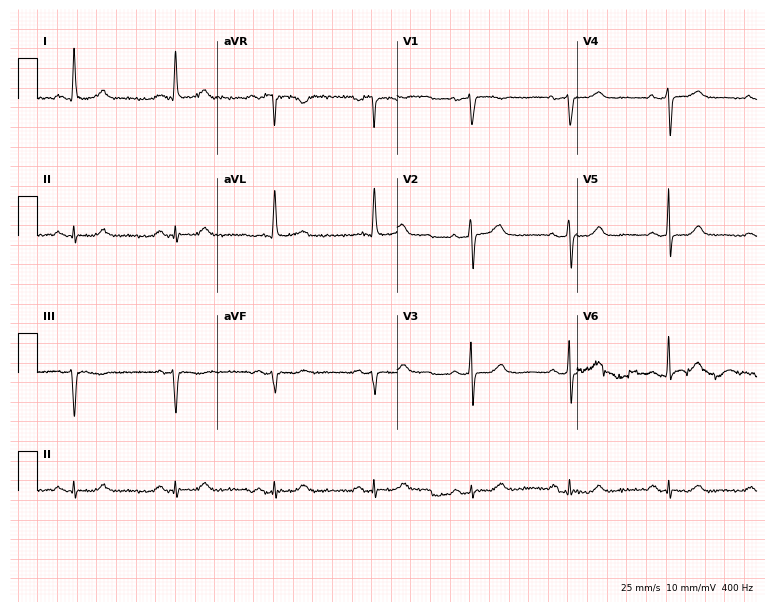
Standard 12-lead ECG recorded from a female, 84 years old. Read as a normal ECG.